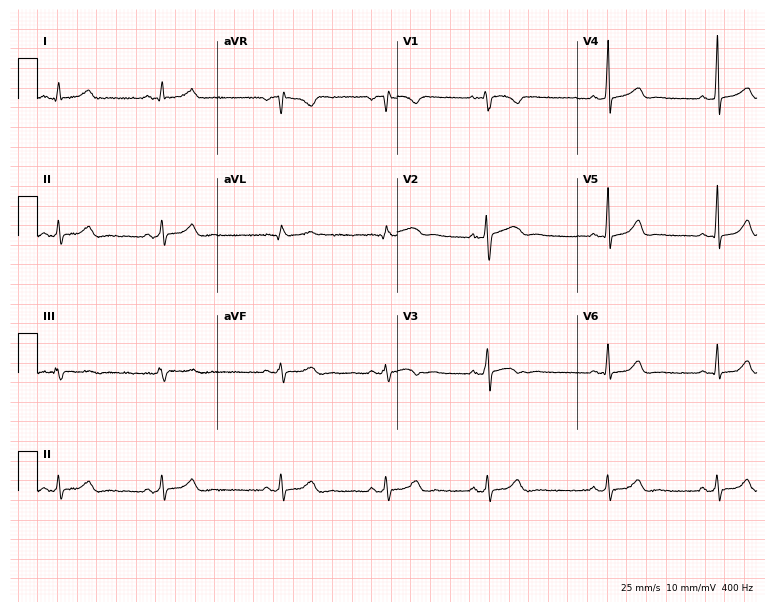
ECG — a 32-year-old woman. Labelled as a normal ECG.